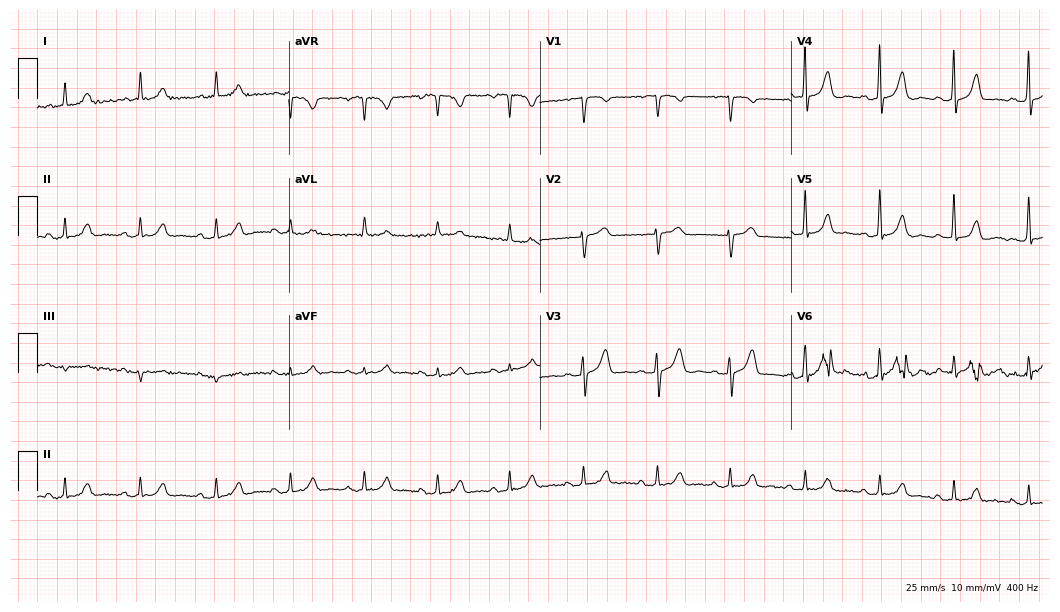
12-lead ECG (10.2-second recording at 400 Hz) from a woman, 68 years old. Labelled as a normal ECG.